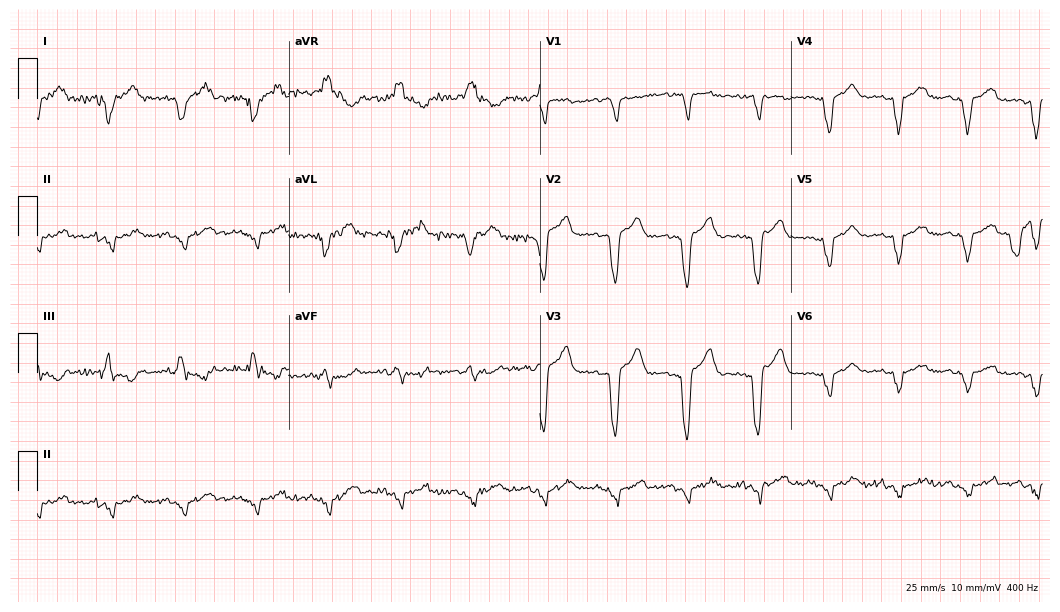
12-lead ECG from a 72-year-old woman. No first-degree AV block, right bundle branch block, left bundle branch block, sinus bradycardia, atrial fibrillation or sinus tachycardia recorded for this tracing.